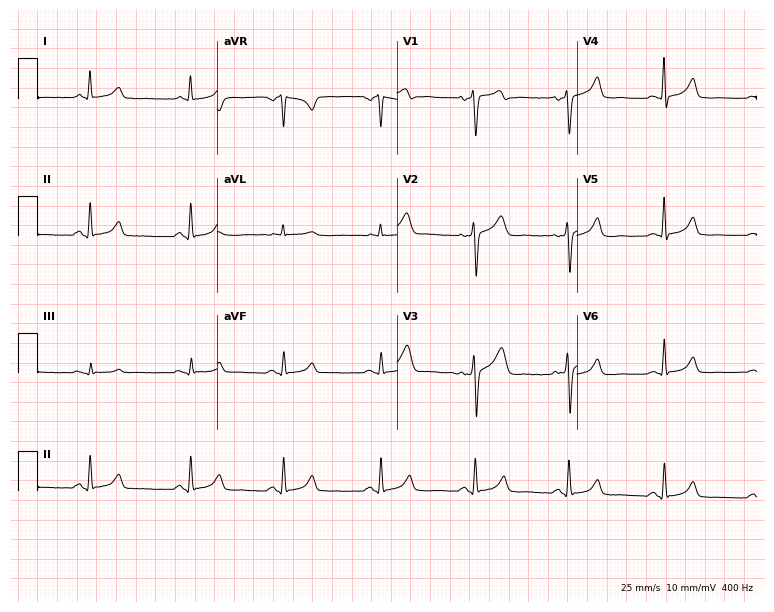
12-lead ECG from a 50-year-old man (7.3-second recording at 400 Hz). No first-degree AV block, right bundle branch block, left bundle branch block, sinus bradycardia, atrial fibrillation or sinus tachycardia recorded for this tracing.